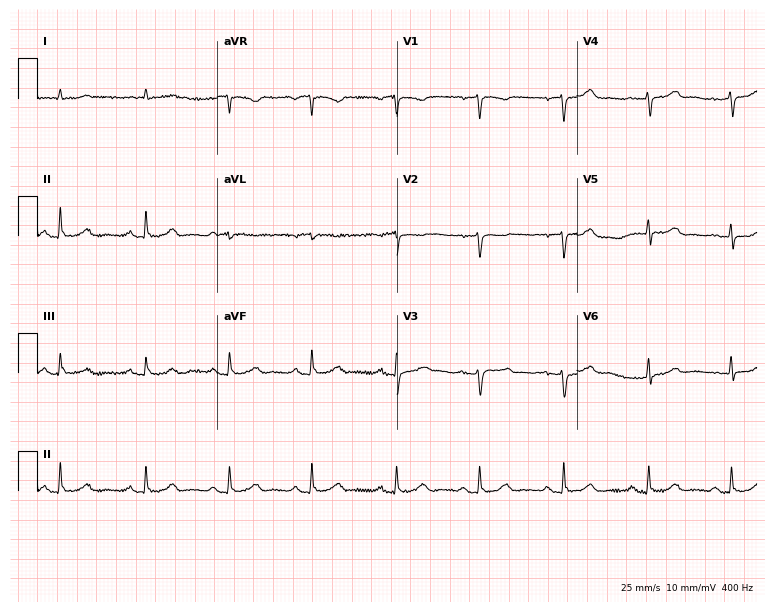
12-lead ECG from a male, 68 years old (7.3-second recording at 400 Hz). No first-degree AV block, right bundle branch block (RBBB), left bundle branch block (LBBB), sinus bradycardia, atrial fibrillation (AF) or sinus tachycardia recorded for this tracing. Findings outside these six are not listed.